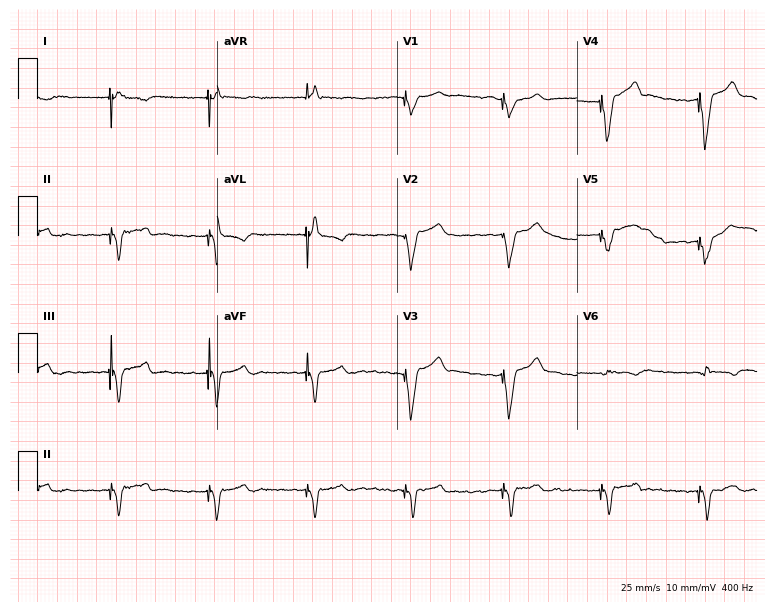
Standard 12-lead ECG recorded from a male patient, 74 years old. None of these six findings is recorded: first-degree AV block, right bundle branch block, left bundle branch block, sinus bradycardia, atrial fibrillation, sinus tachycardia.